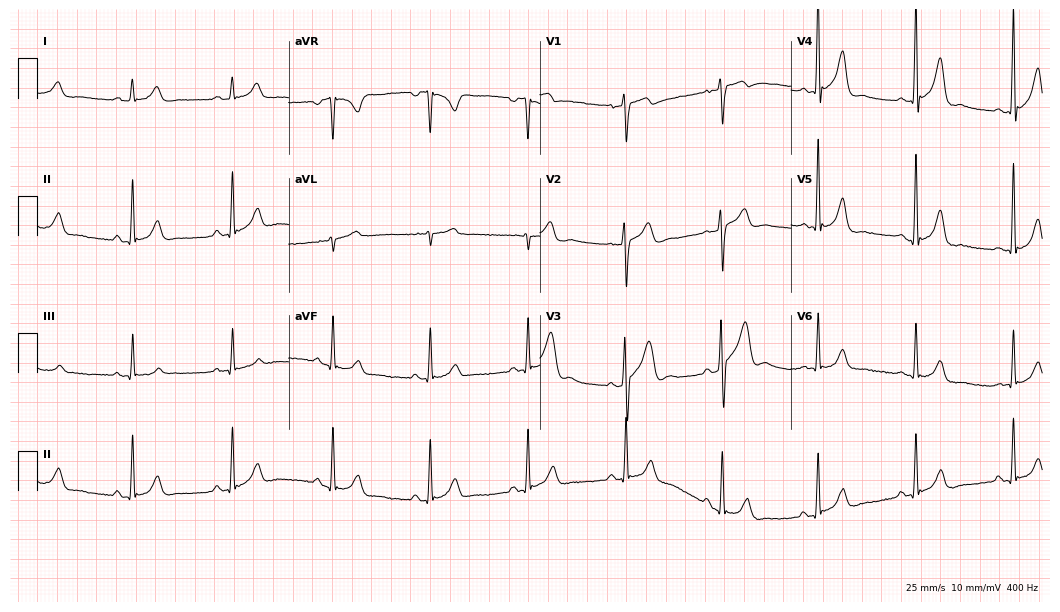
Electrocardiogram, a man, 38 years old. Overall reading on record: normal ECG.